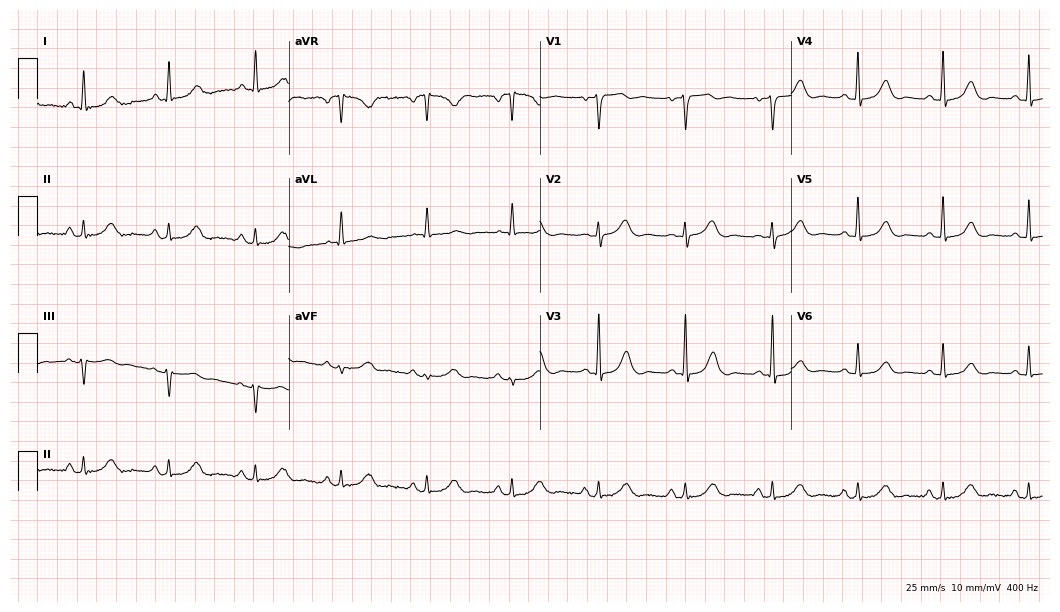
12-lead ECG from a female, 70 years old. Labelled as a normal ECG.